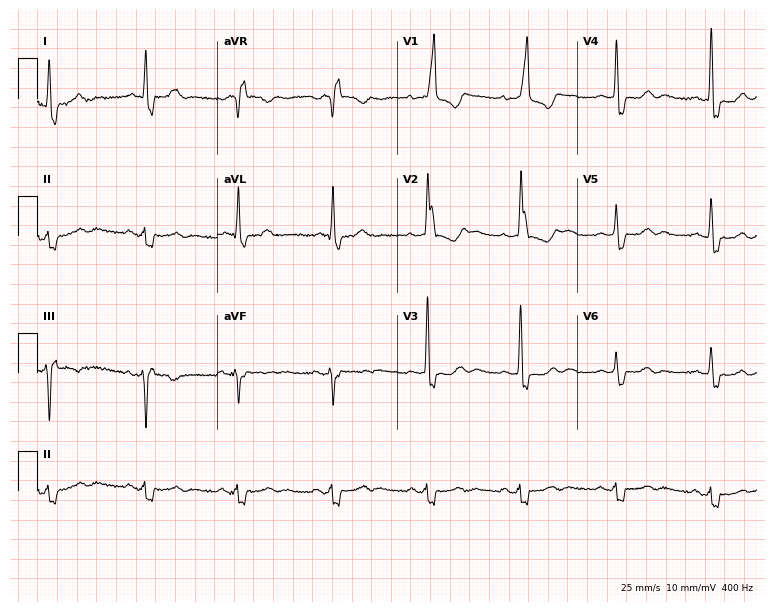
Resting 12-lead electrocardiogram. Patient: an 84-year-old female. The tracing shows right bundle branch block (RBBB).